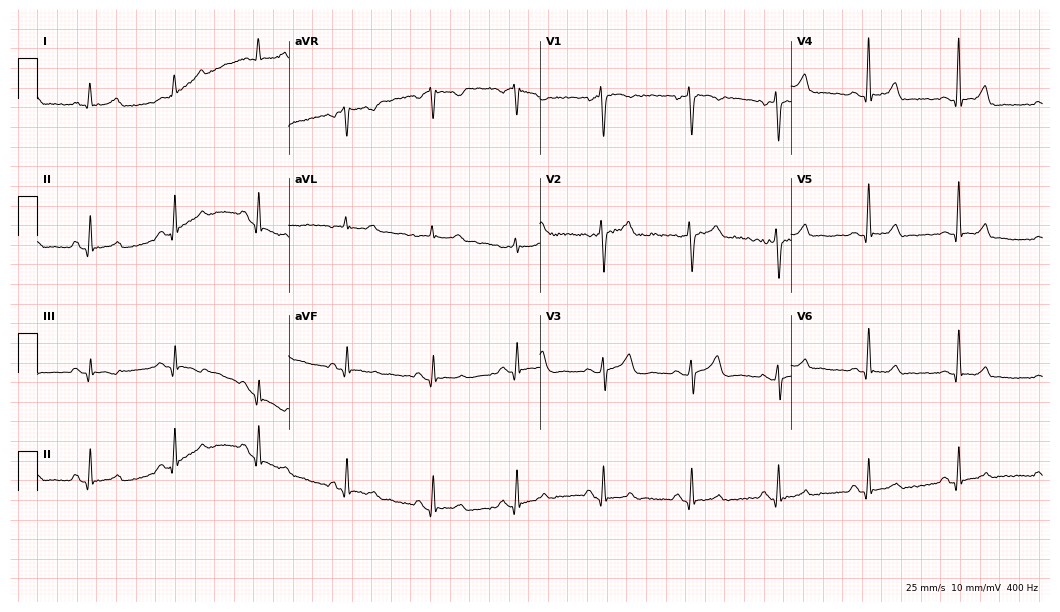
12-lead ECG from a woman, 46 years old. Labelled as a normal ECG.